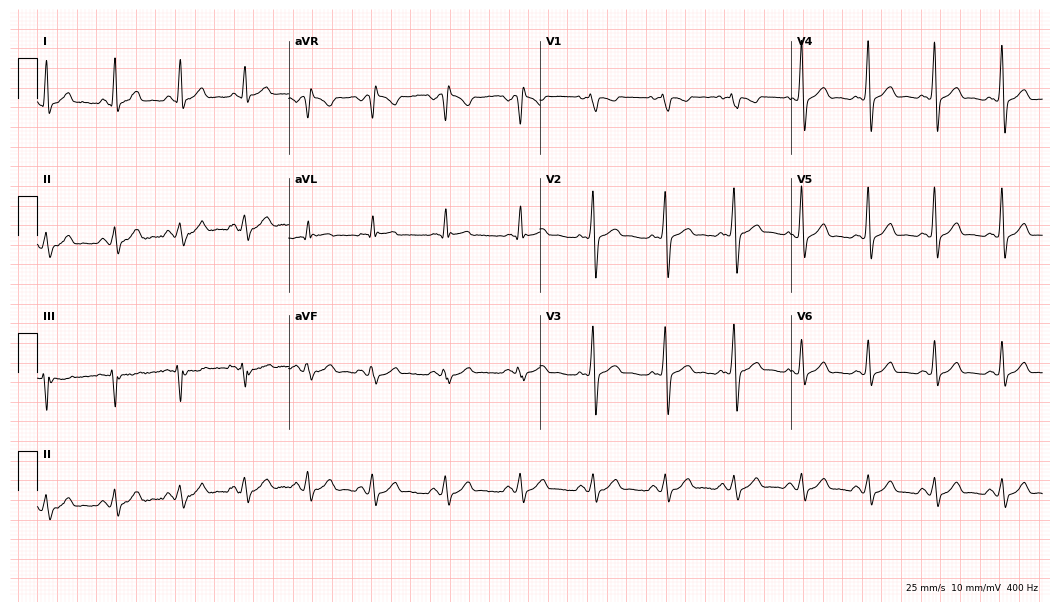
Electrocardiogram (10.2-second recording at 400 Hz), a 30-year-old man. Of the six screened findings (first-degree AV block, right bundle branch block (RBBB), left bundle branch block (LBBB), sinus bradycardia, atrial fibrillation (AF), sinus tachycardia), none is recorded. Other findings, if any, are not listed.